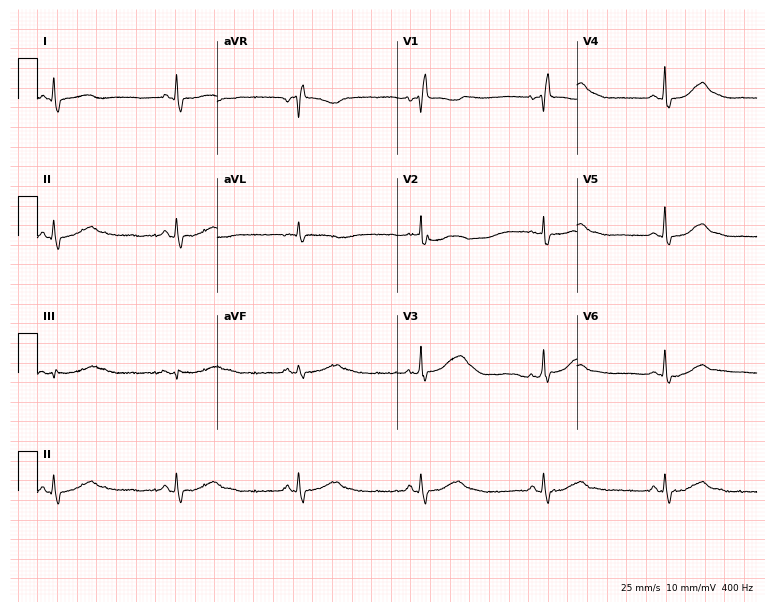
ECG — a 52-year-old female patient. Screened for six findings — first-degree AV block, right bundle branch block, left bundle branch block, sinus bradycardia, atrial fibrillation, sinus tachycardia — none is recorded.